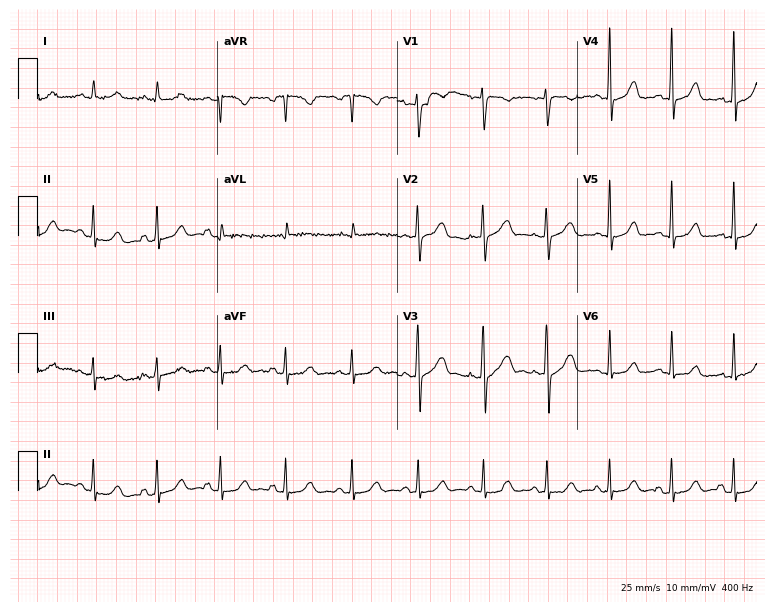
Standard 12-lead ECG recorded from a 31-year-old female (7.3-second recording at 400 Hz). None of these six findings is recorded: first-degree AV block, right bundle branch block (RBBB), left bundle branch block (LBBB), sinus bradycardia, atrial fibrillation (AF), sinus tachycardia.